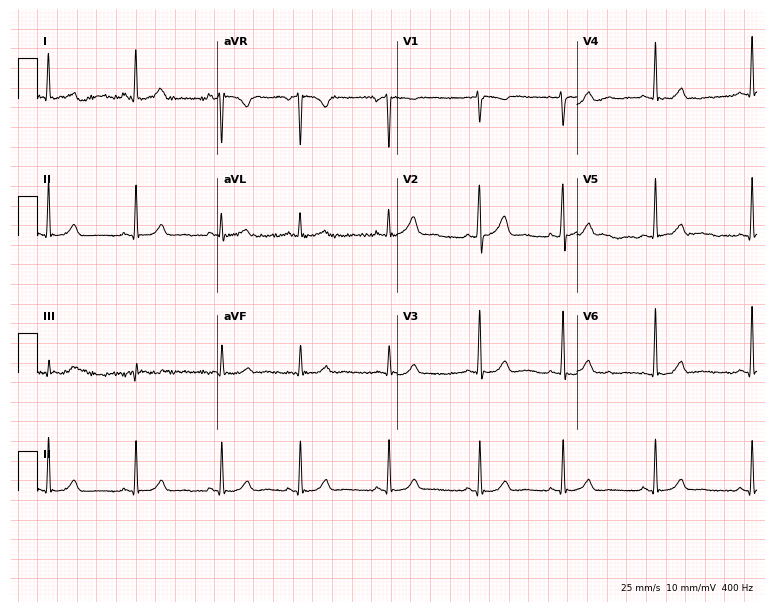
Electrocardiogram (7.3-second recording at 400 Hz), a female patient, 35 years old. Overall reading on record: normal ECG.